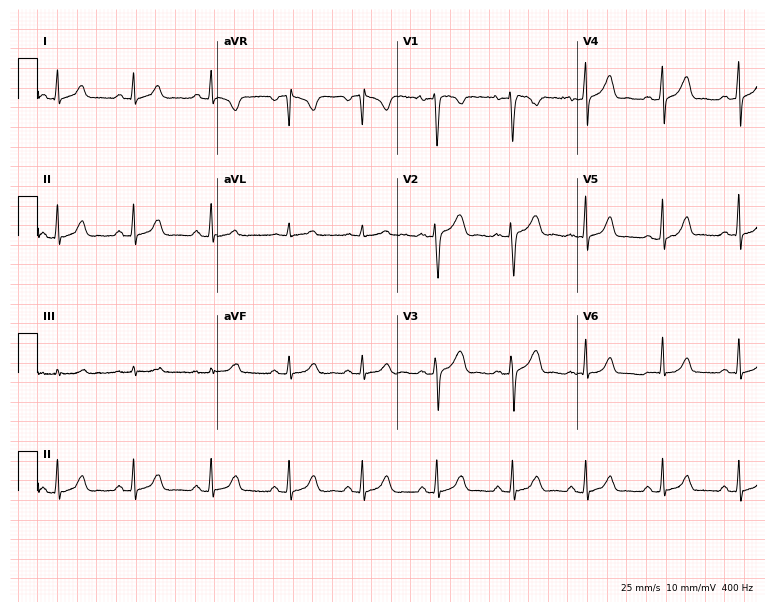
Electrocardiogram (7.3-second recording at 400 Hz), a 25-year-old woman. Overall reading on record: normal ECG.